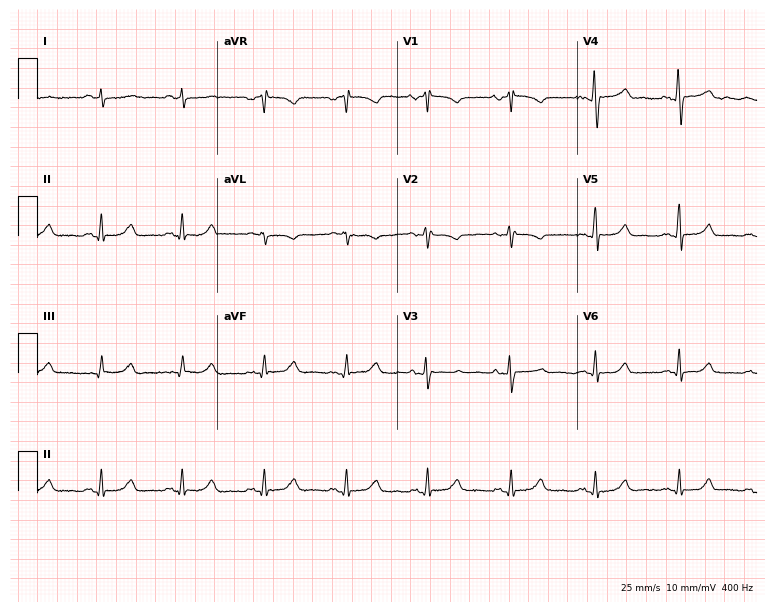
12-lead ECG (7.3-second recording at 400 Hz) from a female, 31 years old. Labelled as a normal ECG.